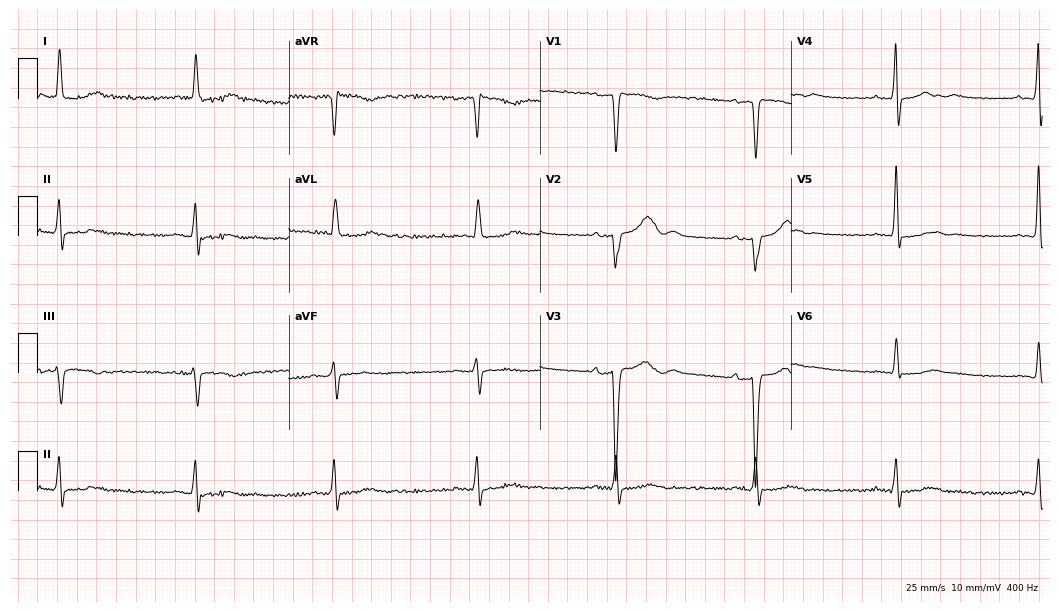
Standard 12-lead ECG recorded from a woman, 79 years old (10.2-second recording at 400 Hz). The tracing shows sinus bradycardia (a sinus rate of 50 beats per minute or less).